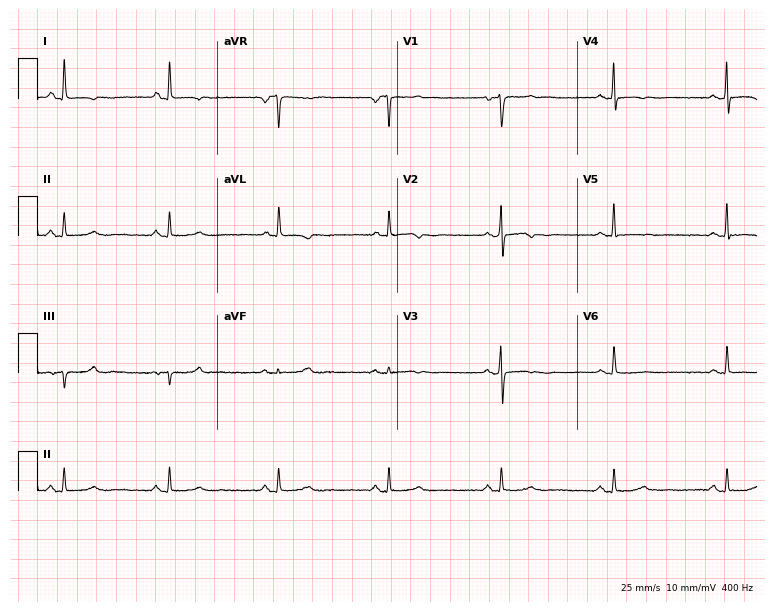
12-lead ECG from a 37-year-old female. Screened for six findings — first-degree AV block, right bundle branch block (RBBB), left bundle branch block (LBBB), sinus bradycardia, atrial fibrillation (AF), sinus tachycardia — none is recorded. Findings outside these six are not listed.